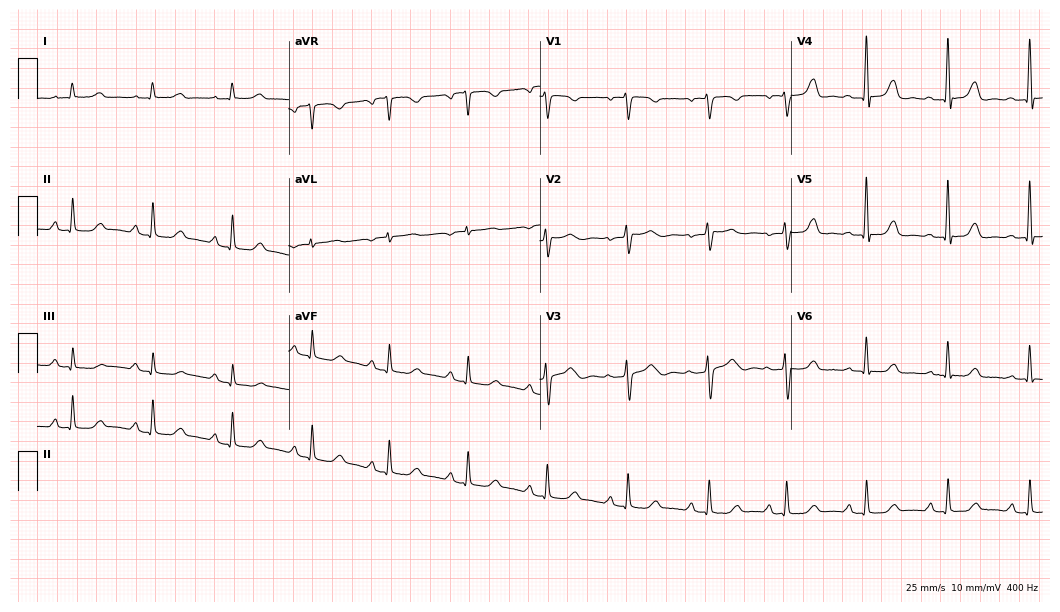
Resting 12-lead electrocardiogram. Patient: a 42-year-old female. Read as a normal ECG.